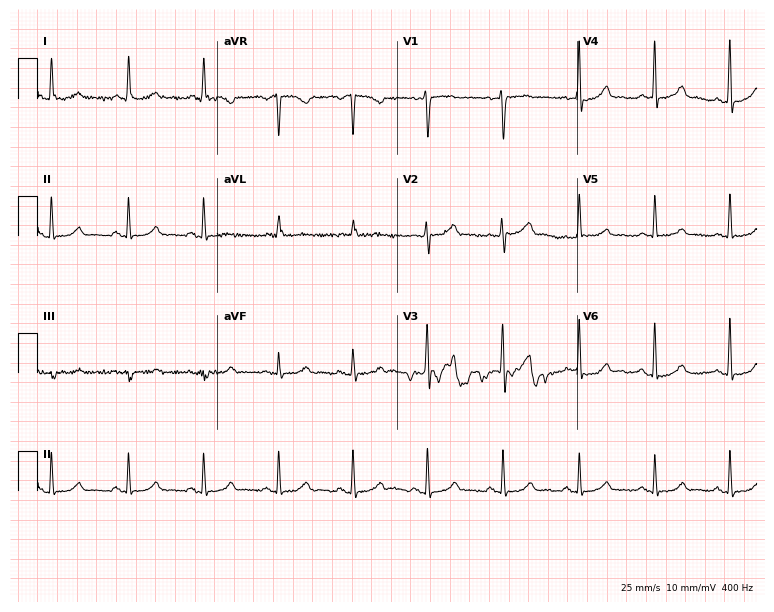
12-lead ECG from a 51-year-old female. Labelled as a normal ECG.